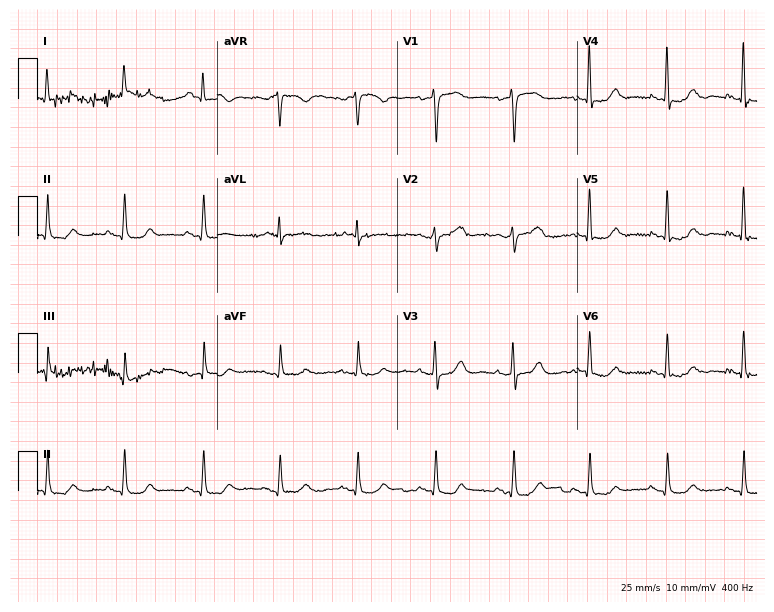
ECG — a 61-year-old female. Screened for six findings — first-degree AV block, right bundle branch block (RBBB), left bundle branch block (LBBB), sinus bradycardia, atrial fibrillation (AF), sinus tachycardia — none is recorded.